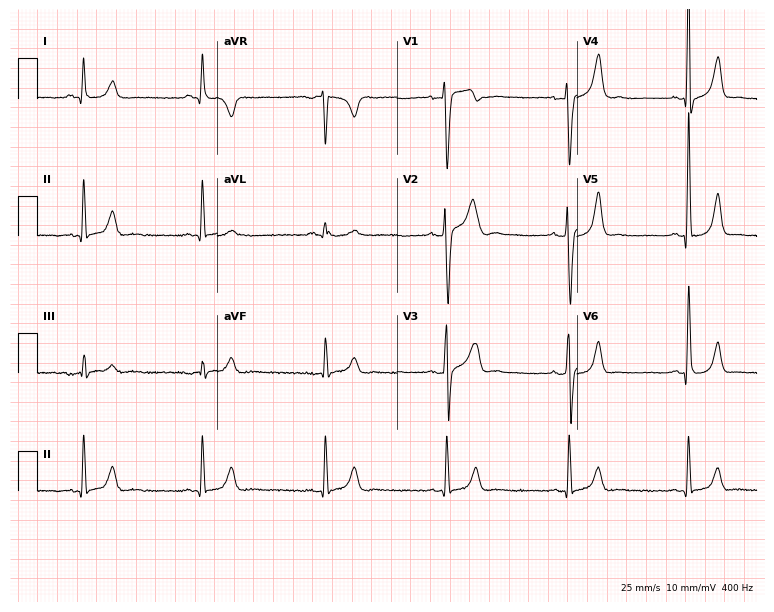
Resting 12-lead electrocardiogram (7.3-second recording at 400 Hz). Patient: a 42-year-old male. The tracing shows sinus bradycardia (a sinus rate of 50 beats per minute or less).